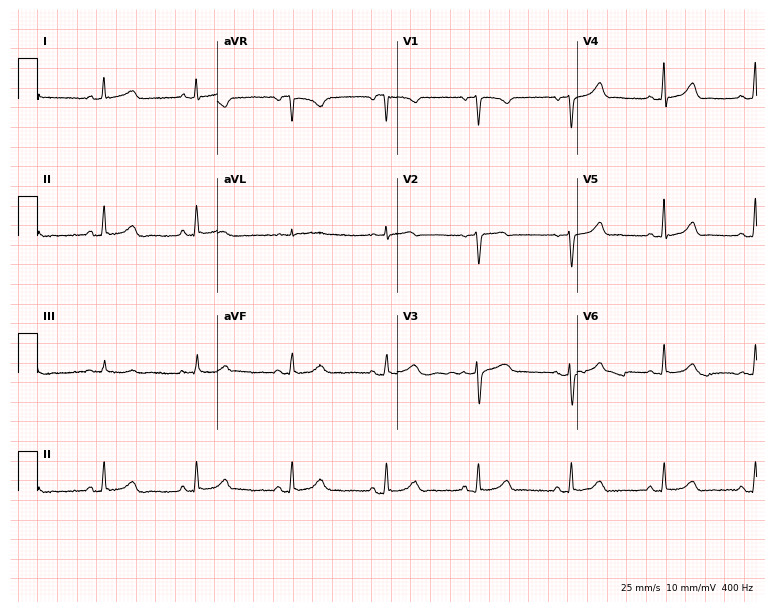
Resting 12-lead electrocardiogram (7.3-second recording at 400 Hz). Patient: a 37-year-old female. None of these six findings is recorded: first-degree AV block, right bundle branch block, left bundle branch block, sinus bradycardia, atrial fibrillation, sinus tachycardia.